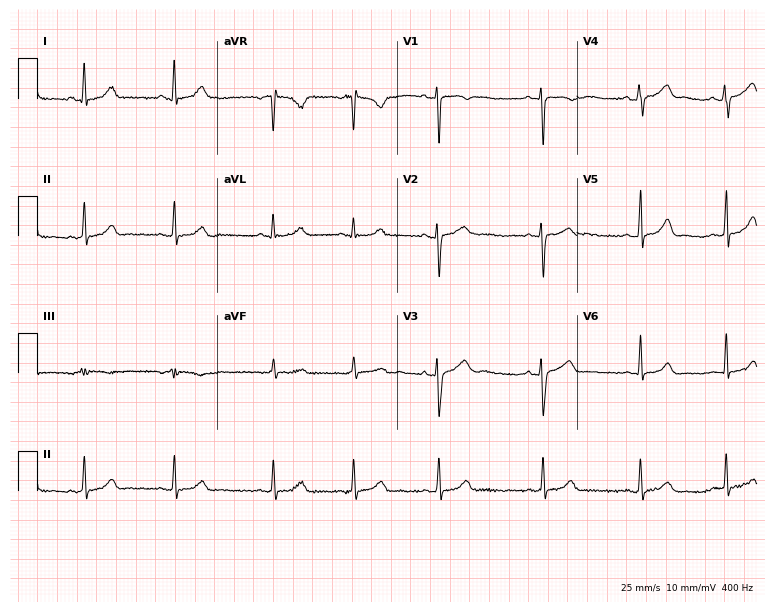
ECG (7.3-second recording at 400 Hz) — an 18-year-old woman. Labelled as a normal ECG.